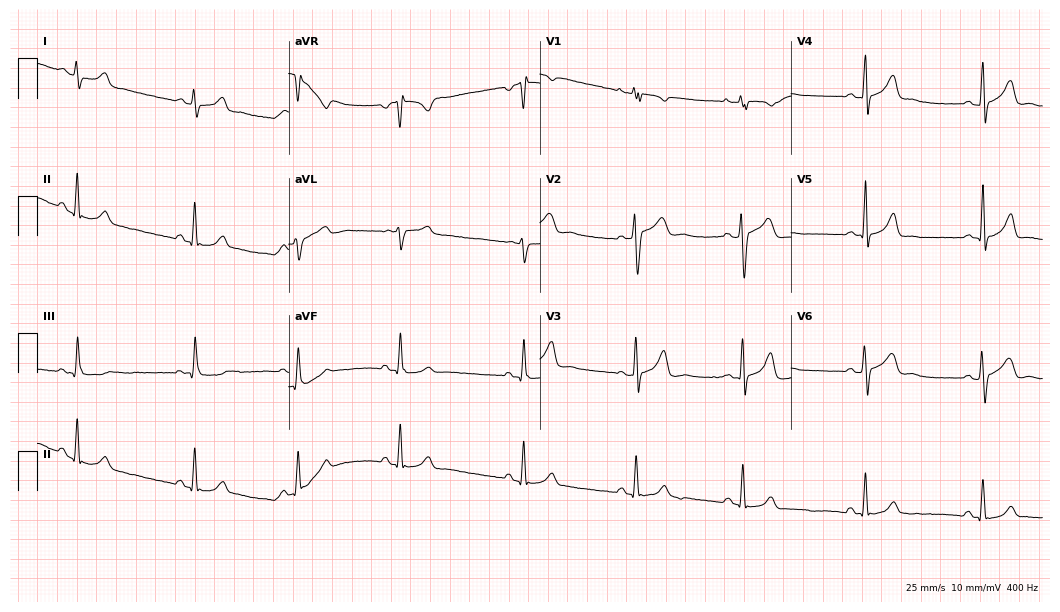
Standard 12-lead ECG recorded from a female patient, 23 years old. None of these six findings is recorded: first-degree AV block, right bundle branch block (RBBB), left bundle branch block (LBBB), sinus bradycardia, atrial fibrillation (AF), sinus tachycardia.